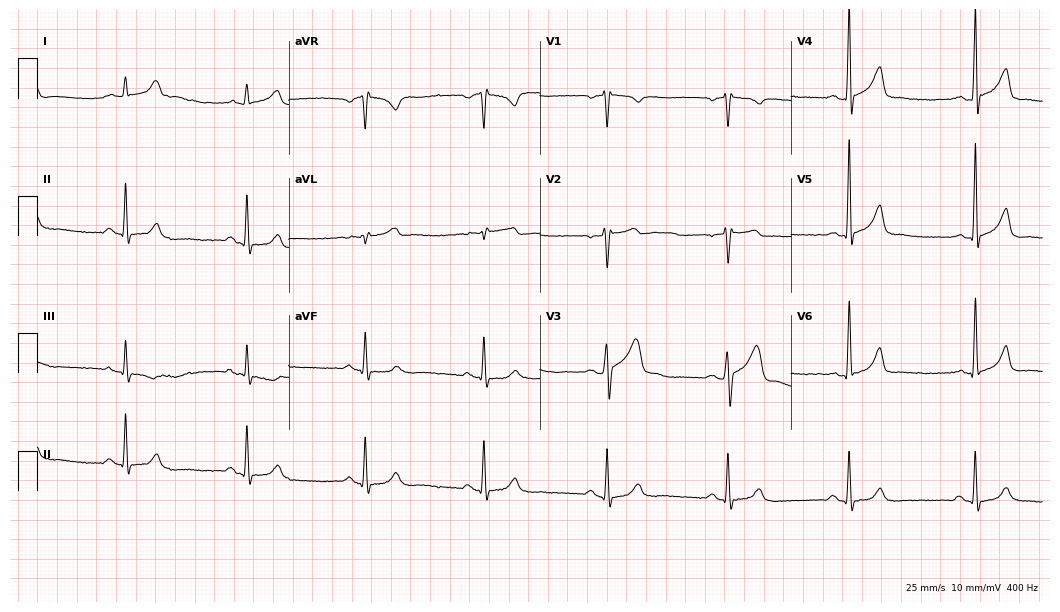
12-lead ECG from a man, 32 years old (10.2-second recording at 400 Hz). Recorded interpretation: within normal limits.